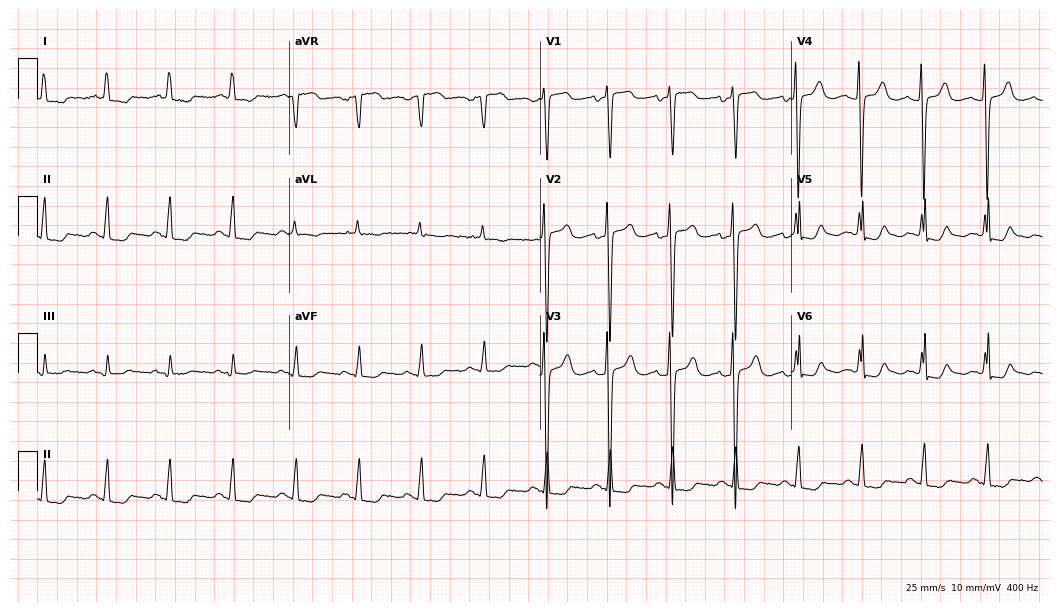
Electrocardiogram, a woman, 67 years old. Of the six screened findings (first-degree AV block, right bundle branch block, left bundle branch block, sinus bradycardia, atrial fibrillation, sinus tachycardia), none is recorded. Findings outside these six are not listed.